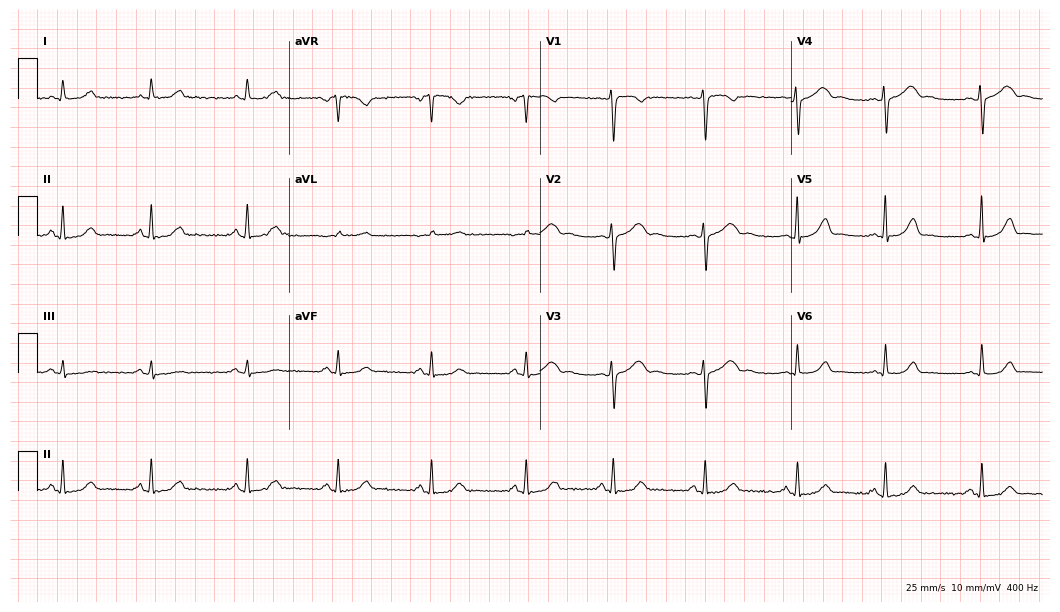
12-lead ECG (10.2-second recording at 400 Hz) from a 35-year-old female patient. Labelled as a normal ECG.